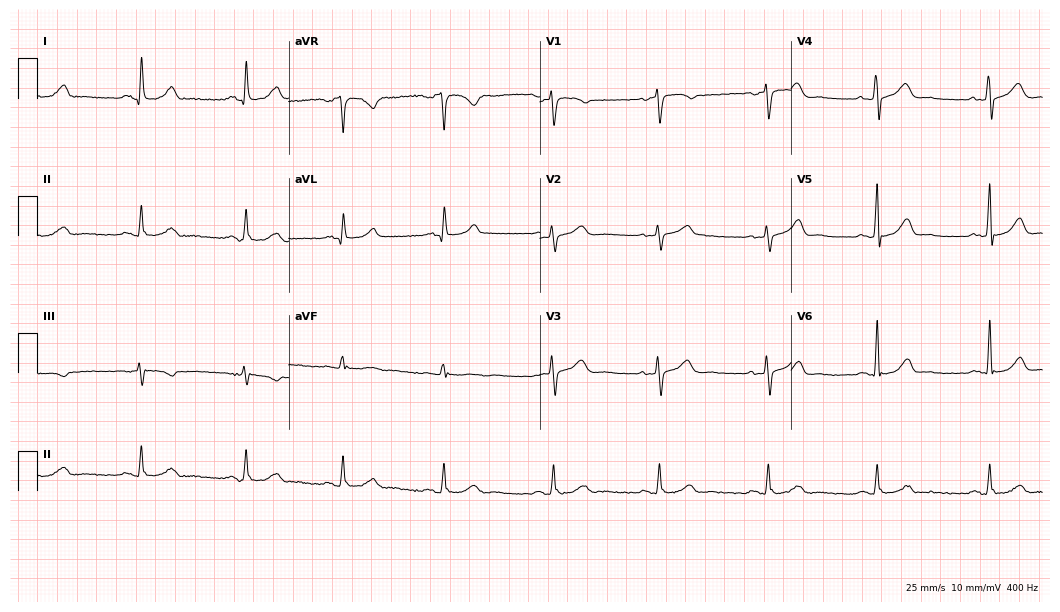
Electrocardiogram (10.2-second recording at 400 Hz), a 54-year-old female patient. Of the six screened findings (first-degree AV block, right bundle branch block (RBBB), left bundle branch block (LBBB), sinus bradycardia, atrial fibrillation (AF), sinus tachycardia), none is recorded. Other findings, if any, are not listed.